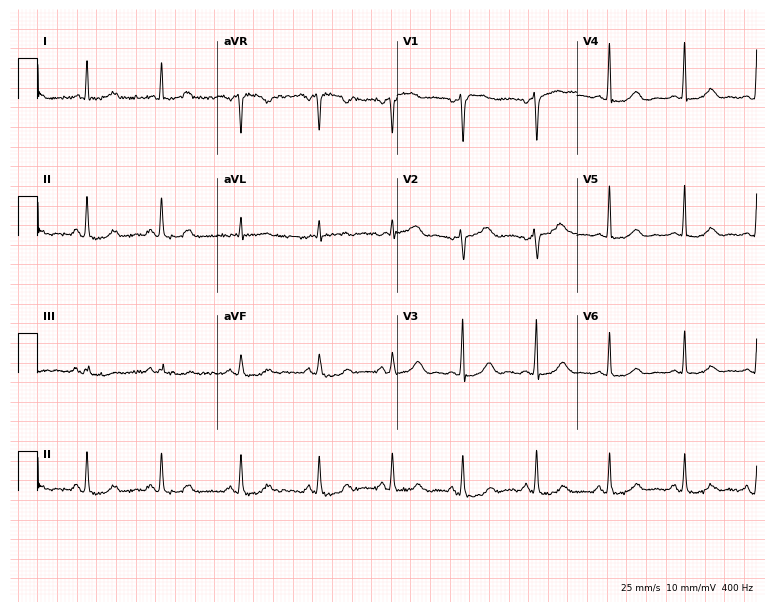
Electrocardiogram (7.3-second recording at 400 Hz), a 54-year-old female patient. Overall reading on record: normal ECG.